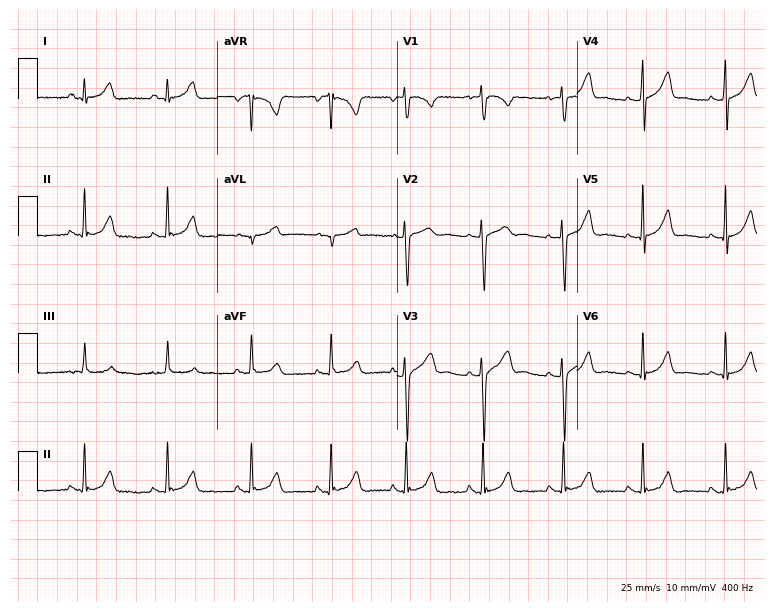
12-lead ECG (7.3-second recording at 400 Hz) from a female, 20 years old. Labelled as a normal ECG.